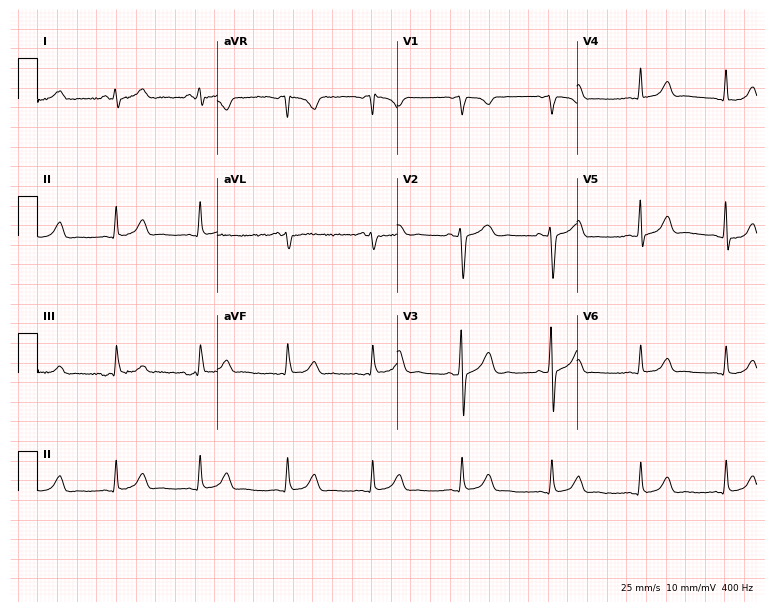
Electrocardiogram (7.3-second recording at 400 Hz), a female patient, 26 years old. Of the six screened findings (first-degree AV block, right bundle branch block, left bundle branch block, sinus bradycardia, atrial fibrillation, sinus tachycardia), none is recorded. Findings outside these six are not listed.